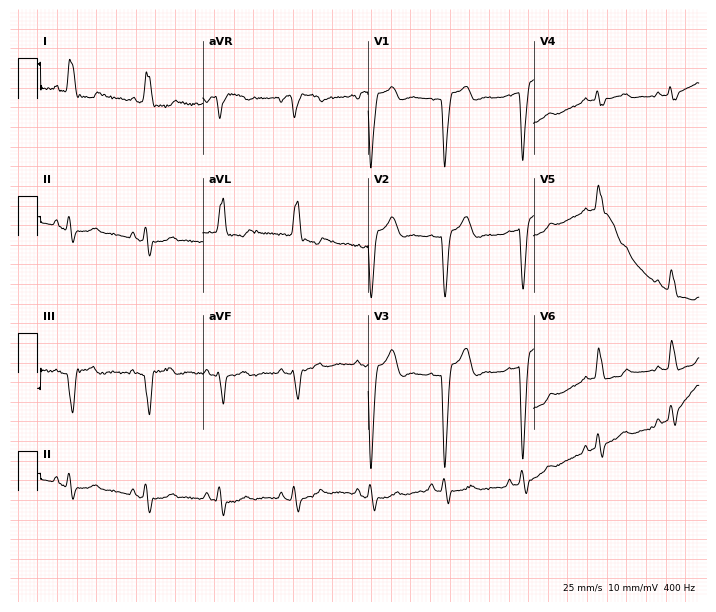
Resting 12-lead electrocardiogram. Patient: a 73-year-old male. None of these six findings is recorded: first-degree AV block, right bundle branch block, left bundle branch block, sinus bradycardia, atrial fibrillation, sinus tachycardia. Findings outside these six are not listed.